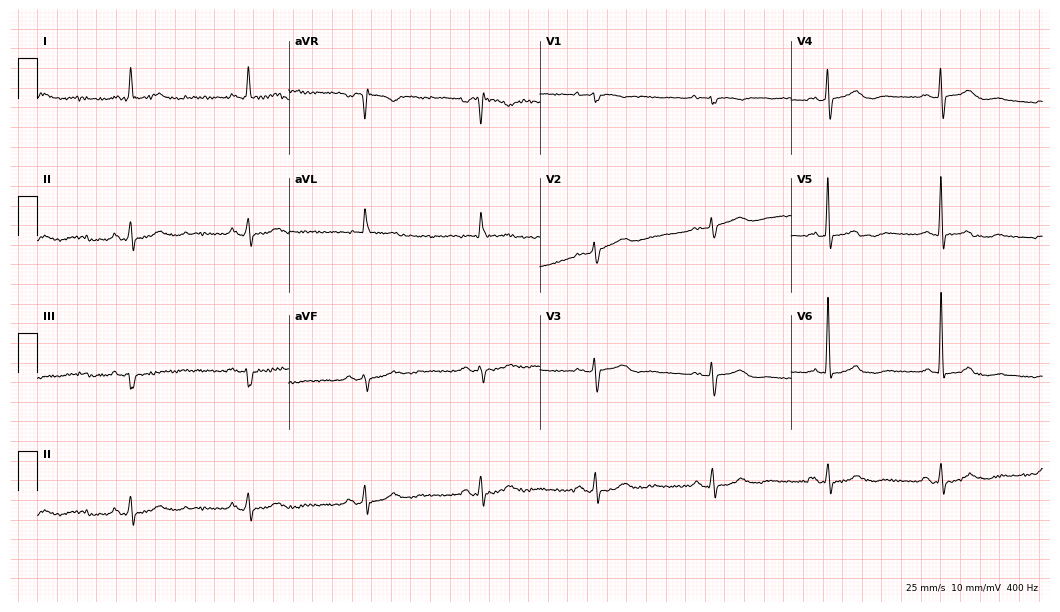
ECG (10.2-second recording at 400 Hz) — a 79-year-old woman. Screened for six findings — first-degree AV block, right bundle branch block, left bundle branch block, sinus bradycardia, atrial fibrillation, sinus tachycardia — none is recorded. Other findings, if any, are not listed.